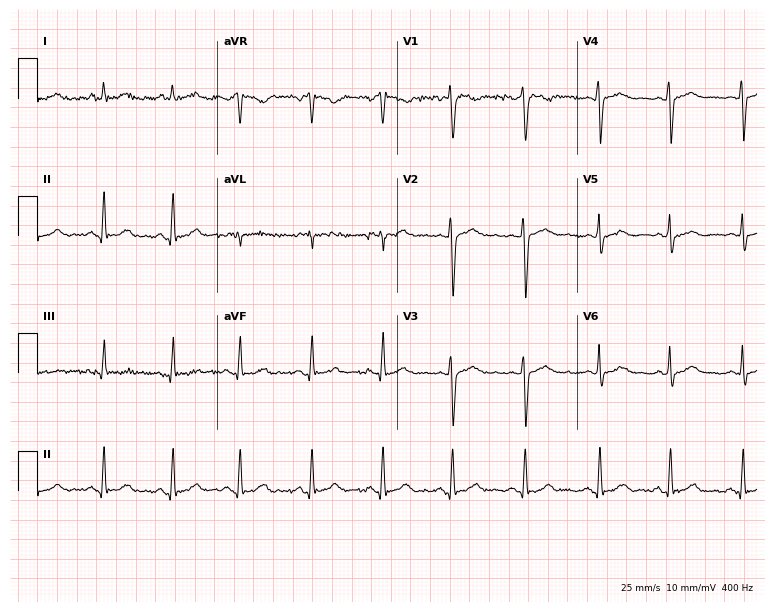
12-lead ECG from a man, 29 years old. Recorded interpretation: within normal limits.